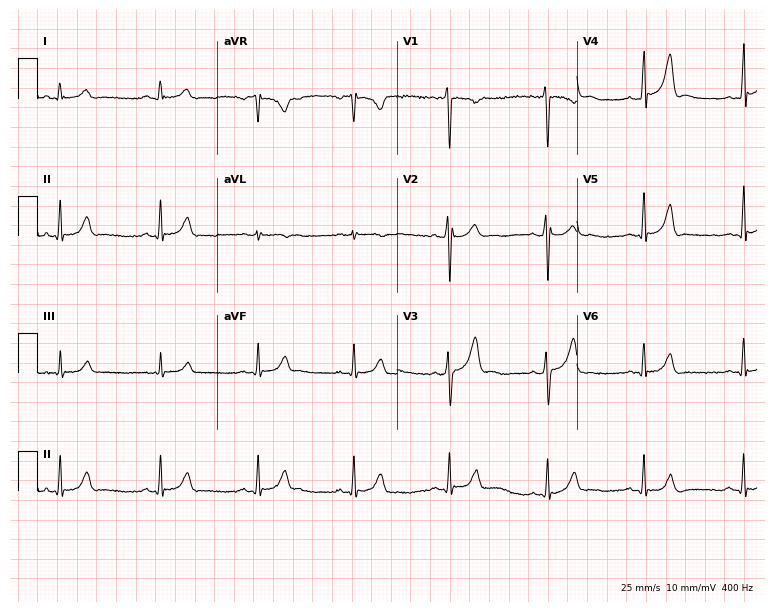
Resting 12-lead electrocardiogram (7.3-second recording at 400 Hz). Patient: a 22-year-old male. Read as a normal ECG.